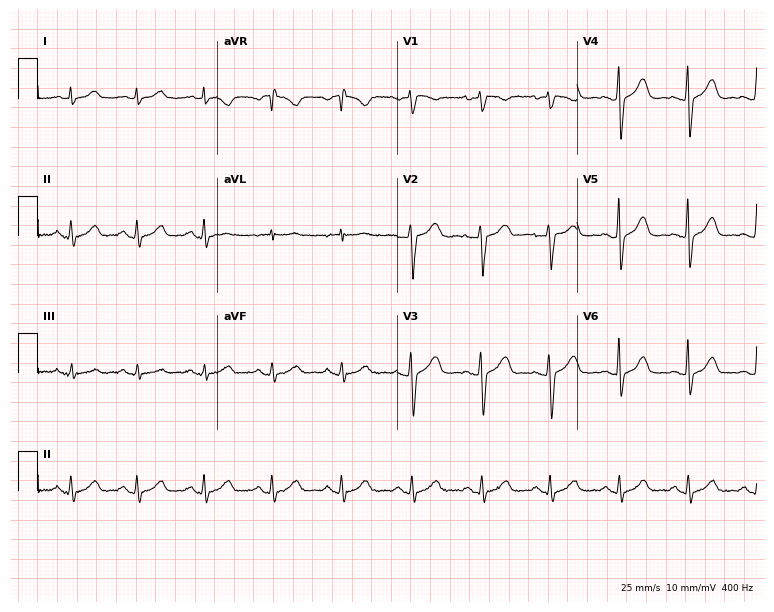
12-lead ECG from a female patient, 41 years old. Labelled as a normal ECG.